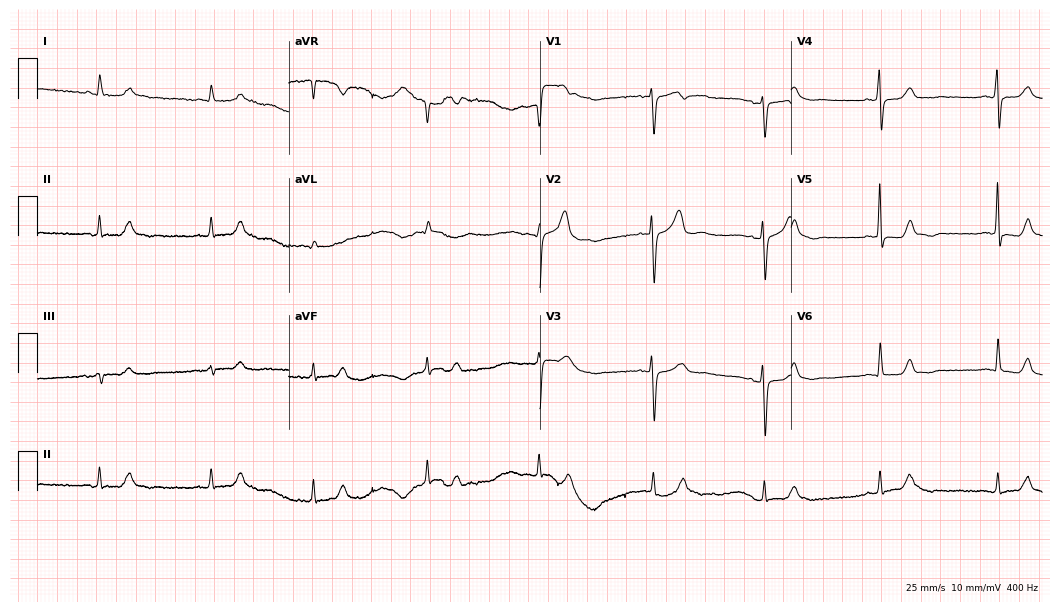
ECG — a 62-year-old female. Screened for six findings — first-degree AV block, right bundle branch block (RBBB), left bundle branch block (LBBB), sinus bradycardia, atrial fibrillation (AF), sinus tachycardia — none is recorded.